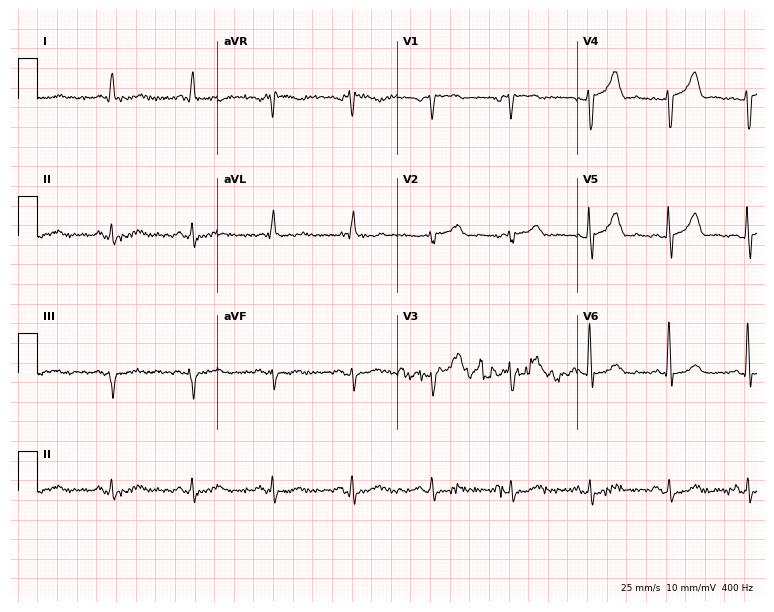
Standard 12-lead ECG recorded from a man, 70 years old (7.3-second recording at 400 Hz). Read as a normal ECG.